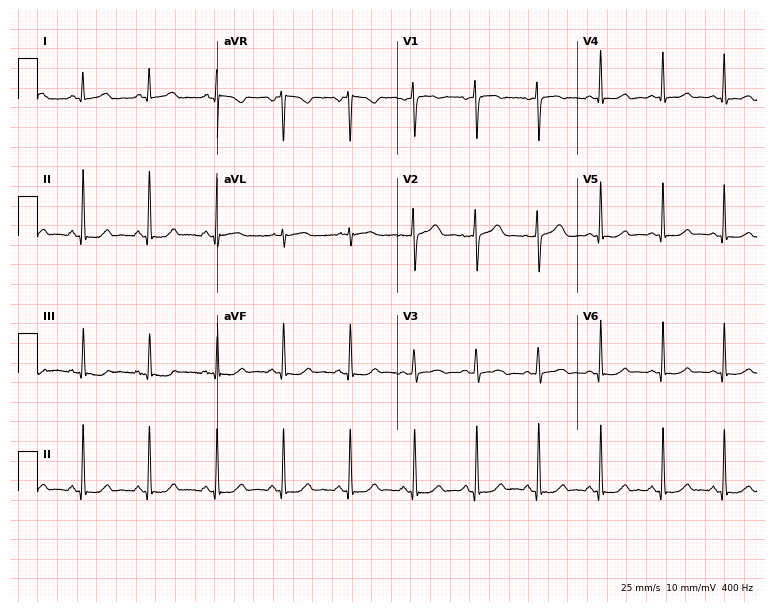
ECG — a woman, 39 years old. Screened for six findings — first-degree AV block, right bundle branch block (RBBB), left bundle branch block (LBBB), sinus bradycardia, atrial fibrillation (AF), sinus tachycardia — none is recorded. Only these six findings were labelled.